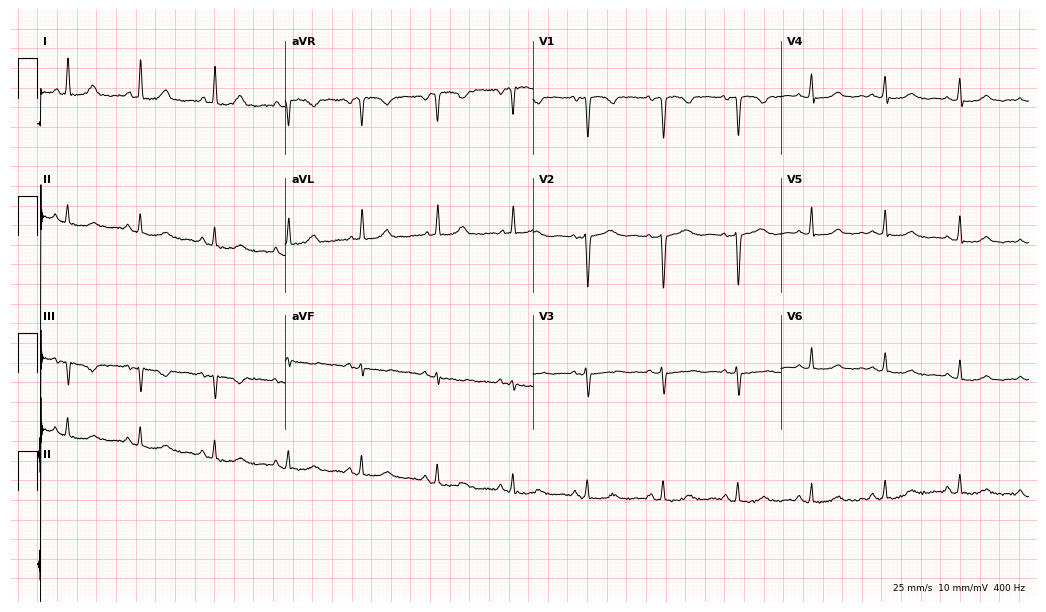
ECG (10.1-second recording at 400 Hz) — a woman, 55 years old. Labelled as a normal ECG.